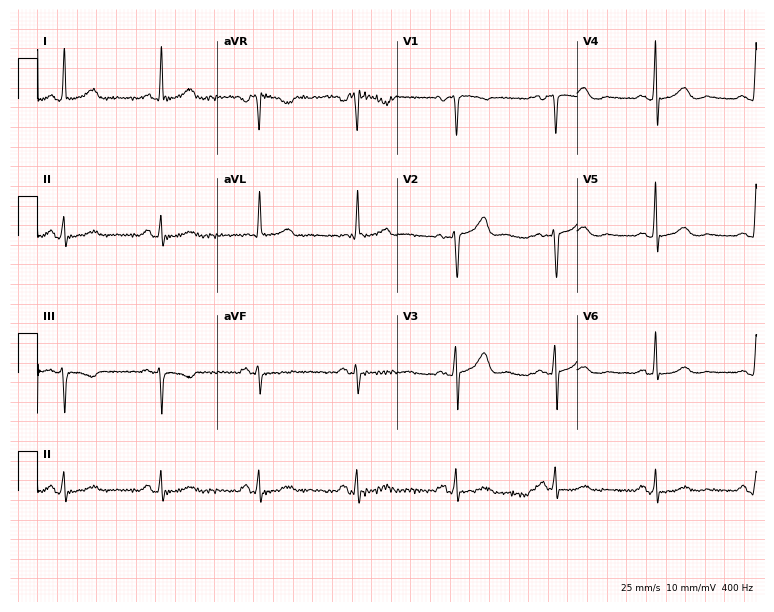
ECG (7.3-second recording at 400 Hz) — a 69-year-old female patient. Labelled as a normal ECG.